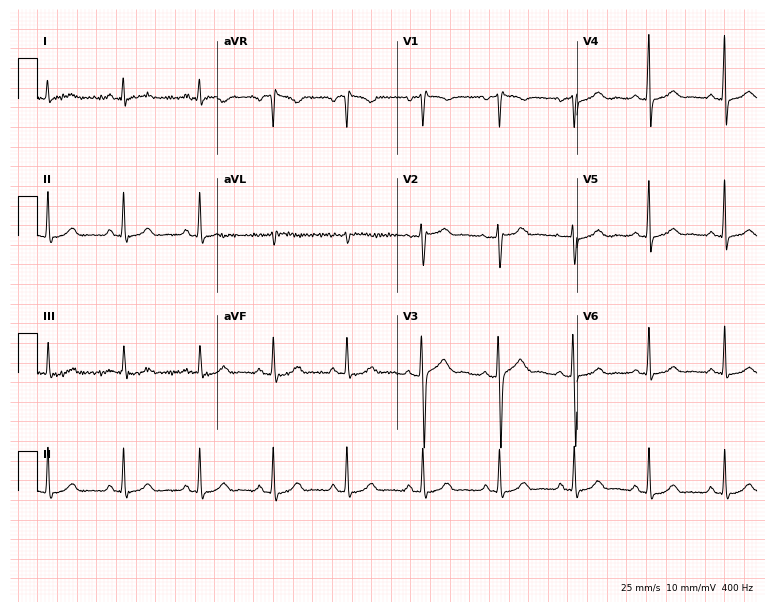
Resting 12-lead electrocardiogram (7.3-second recording at 400 Hz). Patient: a woman, 23 years old. None of these six findings is recorded: first-degree AV block, right bundle branch block, left bundle branch block, sinus bradycardia, atrial fibrillation, sinus tachycardia.